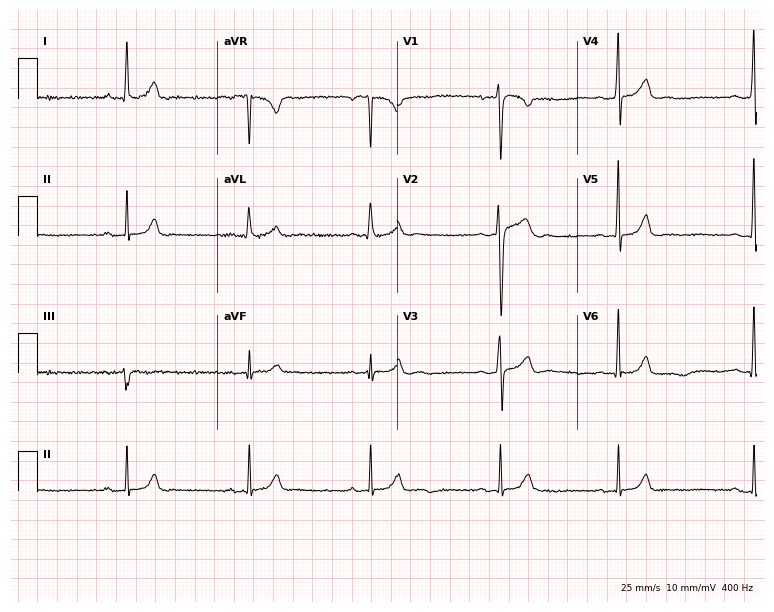
Electrocardiogram, a male patient, 28 years old. Overall reading on record: normal ECG.